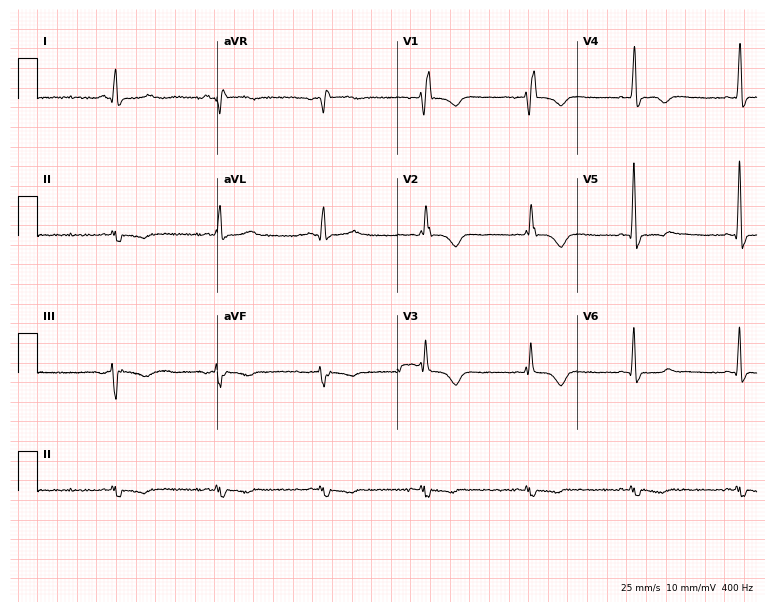
Electrocardiogram (7.3-second recording at 400 Hz), a 48-year-old male. Interpretation includes right bundle branch block.